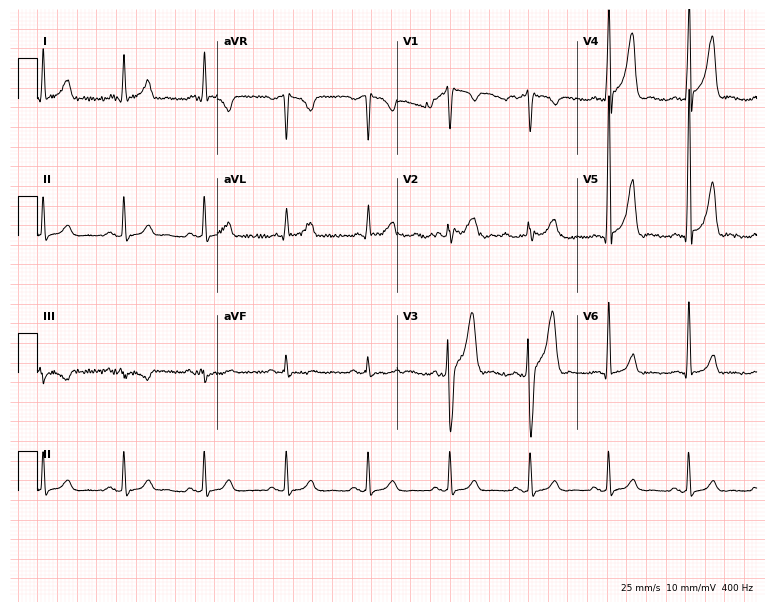
Resting 12-lead electrocardiogram. Patient: a male, 46 years old. None of these six findings is recorded: first-degree AV block, right bundle branch block, left bundle branch block, sinus bradycardia, atrial fibrillation, sinus tachycardia. Only these six findings were labelled.